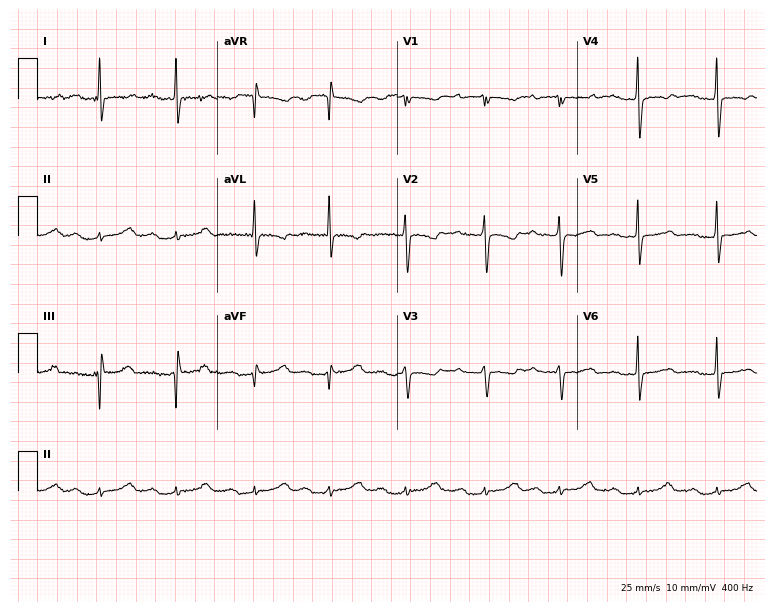
Electrocardiogram (7.3-second recording at 400 Hz), a 78-year-old woman. Interpretation includes first-degree AV block.